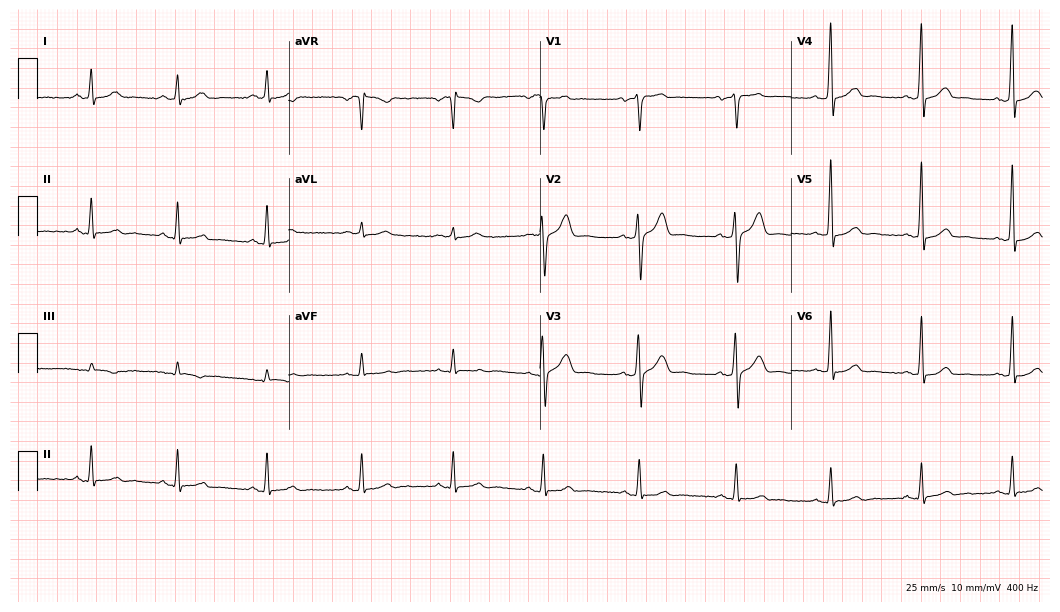
12-lead ECG from a 25-year-old man (10.2-second recording at 400 Hz). Recorded interpretation: within normal limits.